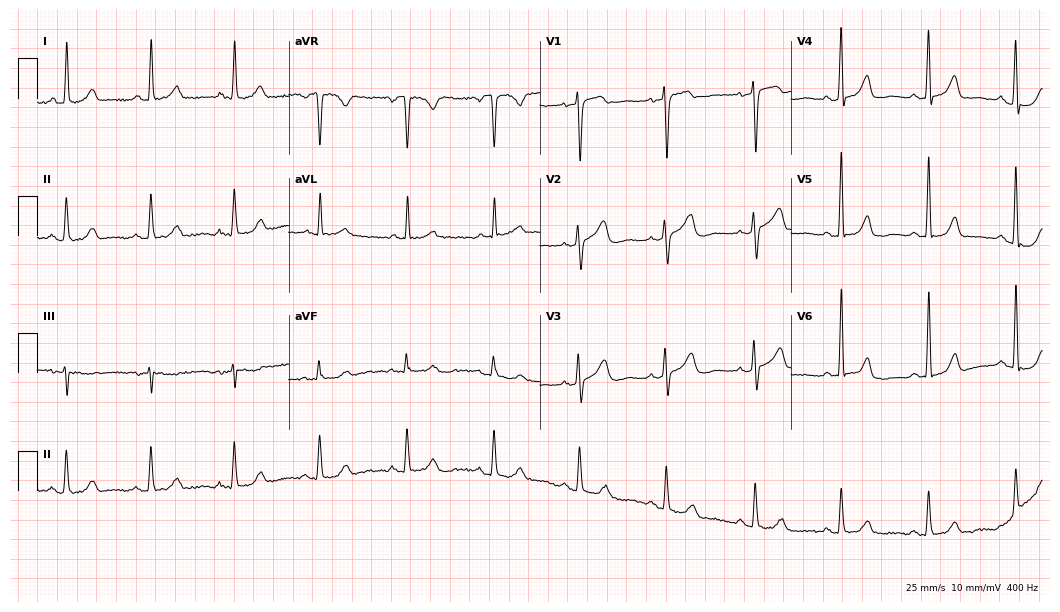
Standard 12-lead ECG recorded from a 66-year-old female patient. Read as a normal ECG.